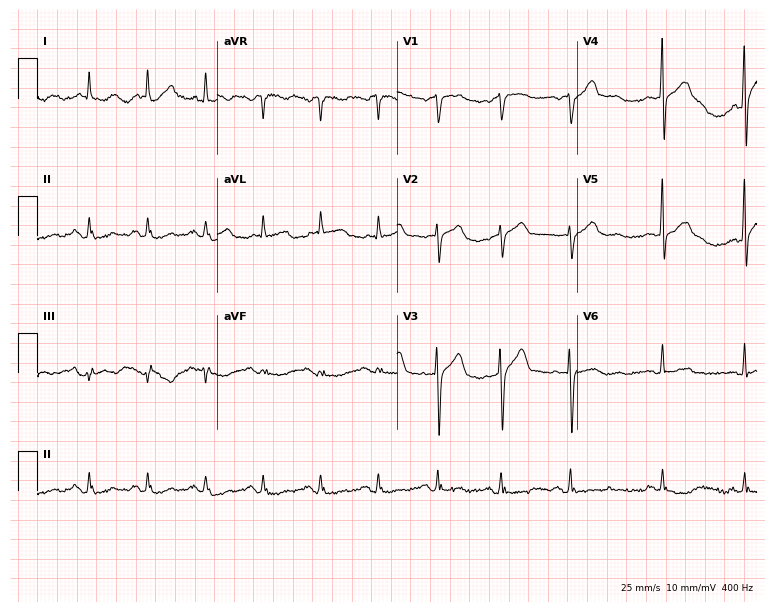
12-lead ECG from a male patient, 60 years old. Recorded interpretation: within normal limits.